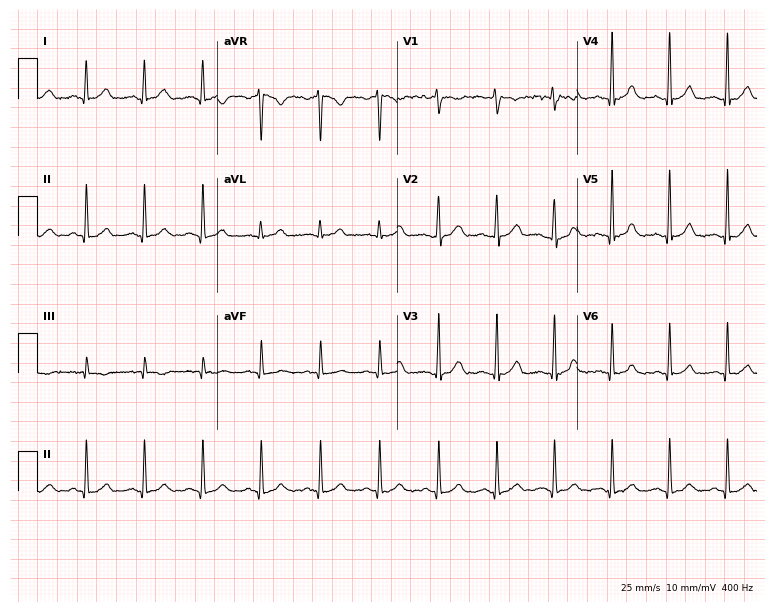
12-lead ECG from a female patient, 42 years old. Findings include sinus tachycardia (a sinus rate of 100 beats per minute or more).